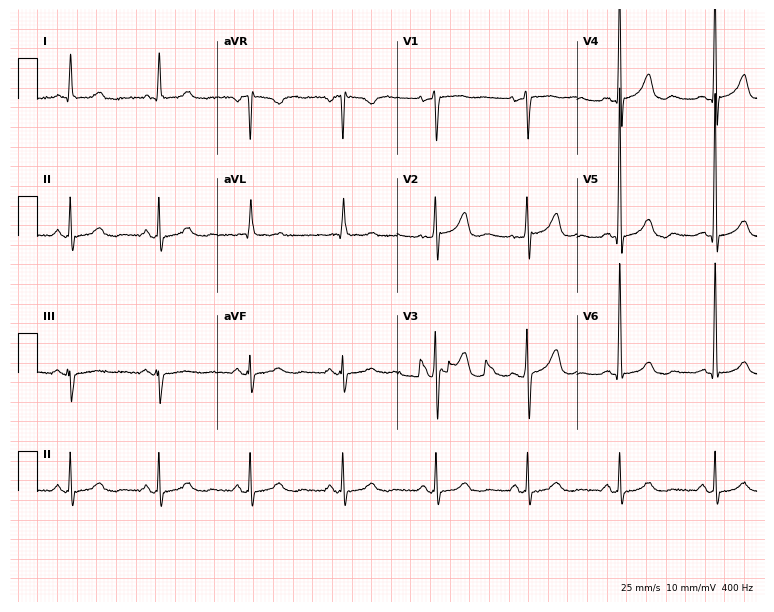
12-lead ECG from a 75-year-old woman (7.3-second recording at 400 Hz). Recorded interpretation: within normal limits.